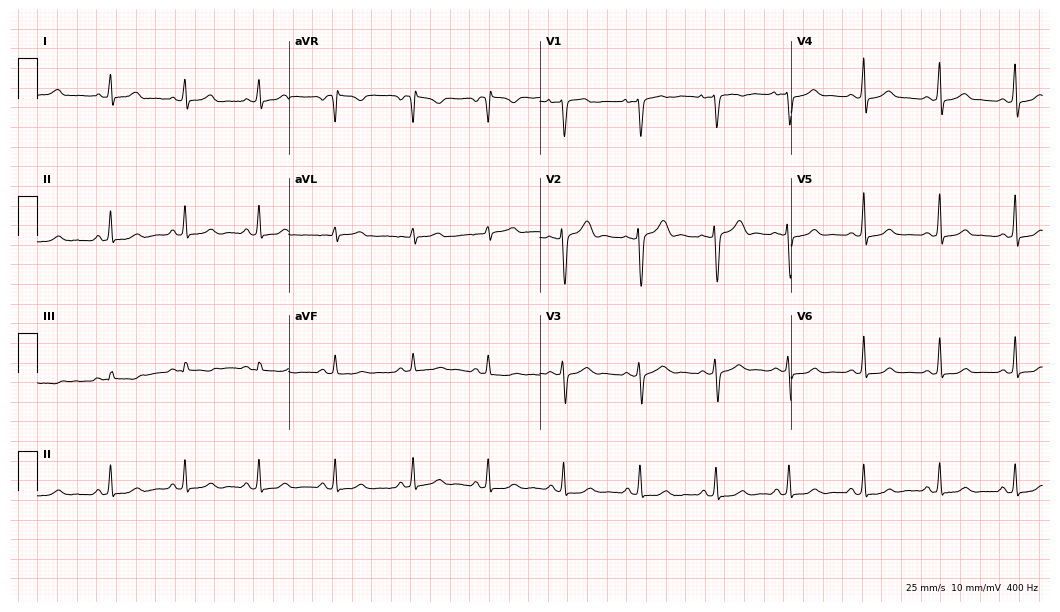
Standard 12-lead ECG recorded from a woman, 24 years old (10.2-second recording at 400 Hz). Read as a normal ECG.